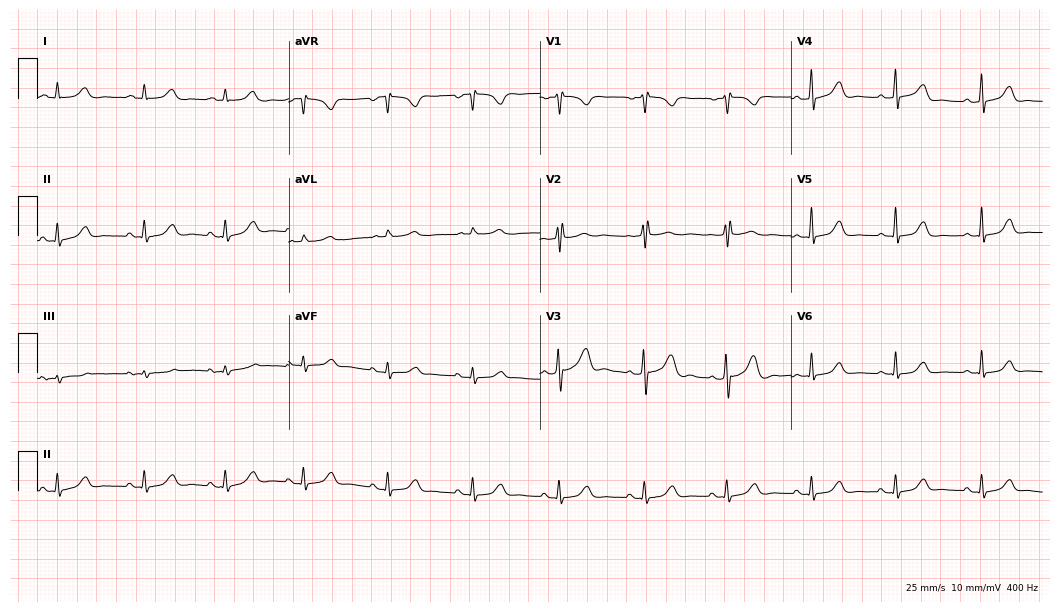
Electrocardiogram, a 53-year-old woman. Of the six screened findings (first-degree AV block, right bundle branch block (RBBB), left bundle branch block (LBBB), sinus bradycardia, atrial fibrillation (AF), sinus tachycardia), none is recorded.